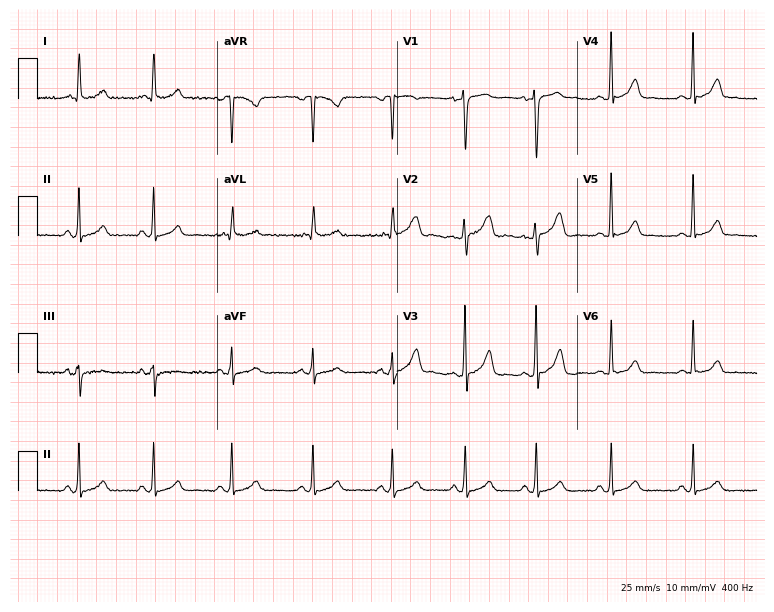
12-lead ECG from a 27-year-old female patient. Screened for six findings — first-degree AV block, right bundle branch block, left bundle branch block, sinus bradycardia, atrial fibrillation, sinus tachycardia — none is recorded. Only these six findings were labelled.